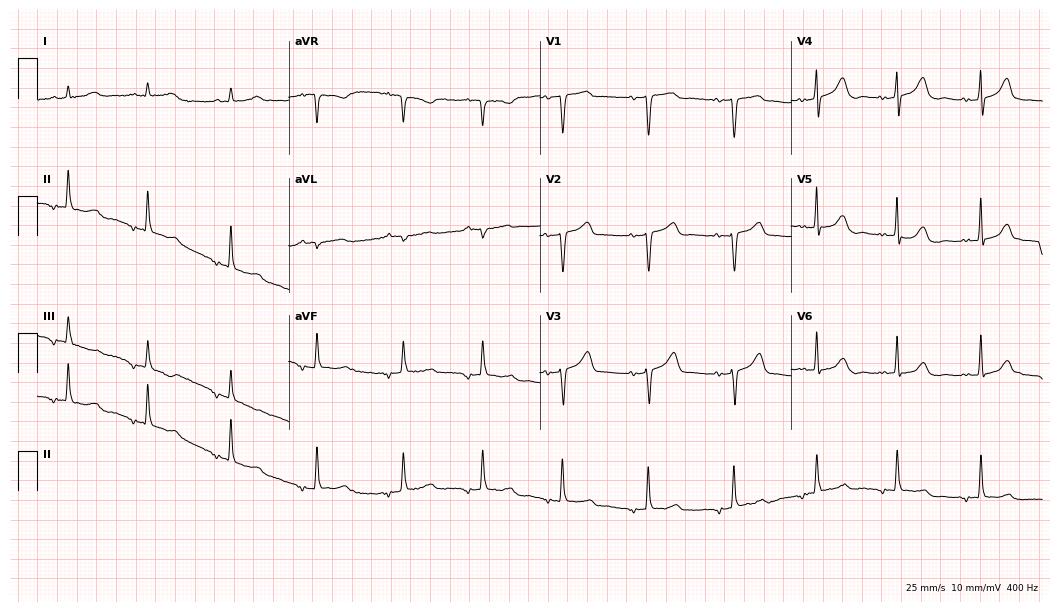
ECG — a female, 85 years old. Screened for six findings — first-degree AV block, right bundle branch block, left bundle branch block, sinus bradycardia, atrial fibrillation, sinus tachycardia — none is recorded.